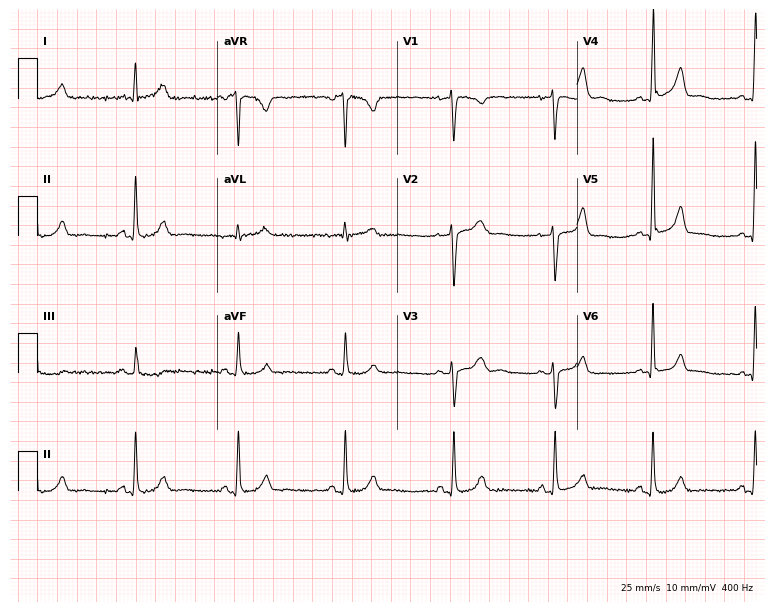
Electrocardiogram (7.3-second recording at 400 Hz), a female patient, 38 years old. Overall reading on record: normal ECG.